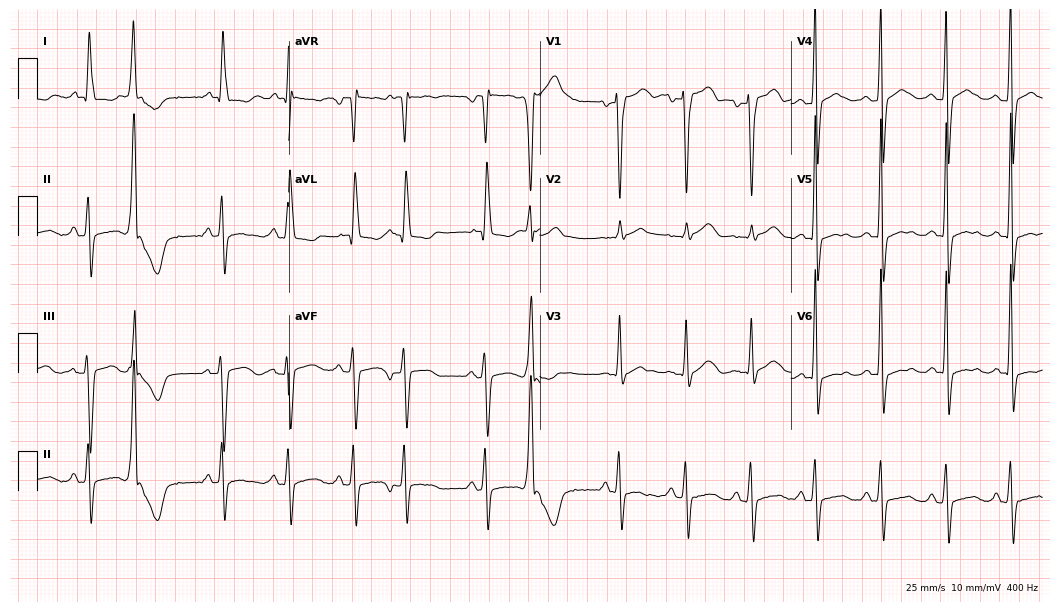
Resting 12-lead electrocardiogram (10.2-second recording at 400 Hz). Patient: an 82-year-old female. None of these six findings is recorded: first-degree AV block, right bundle branch block (RBBB), left bundle branch block (LBBB), sinus bradycardia, atrial fibrillation (AF), sinus tachycardia.